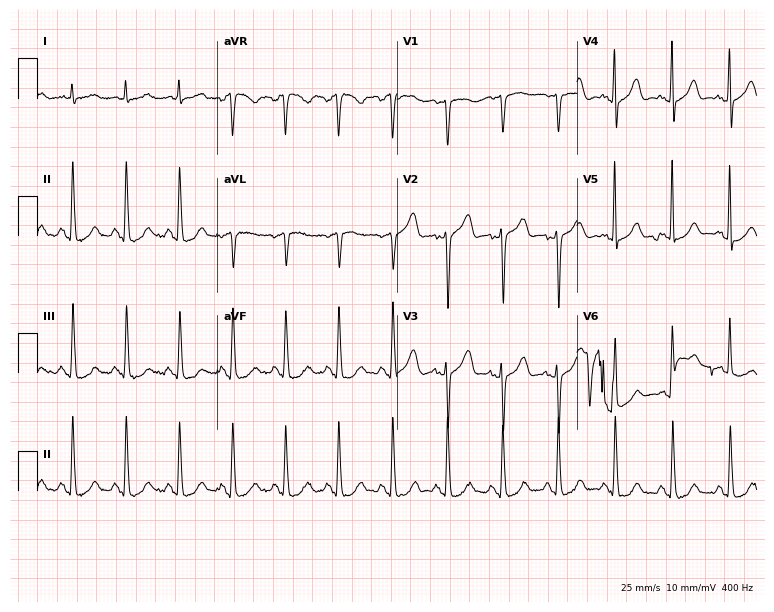
12-lead ECG (7.3-second recording at 400 Hz) from a 59-year-old woman. Findings include sinus tachycardia (a sinus rate of 100 beats per minute or more).